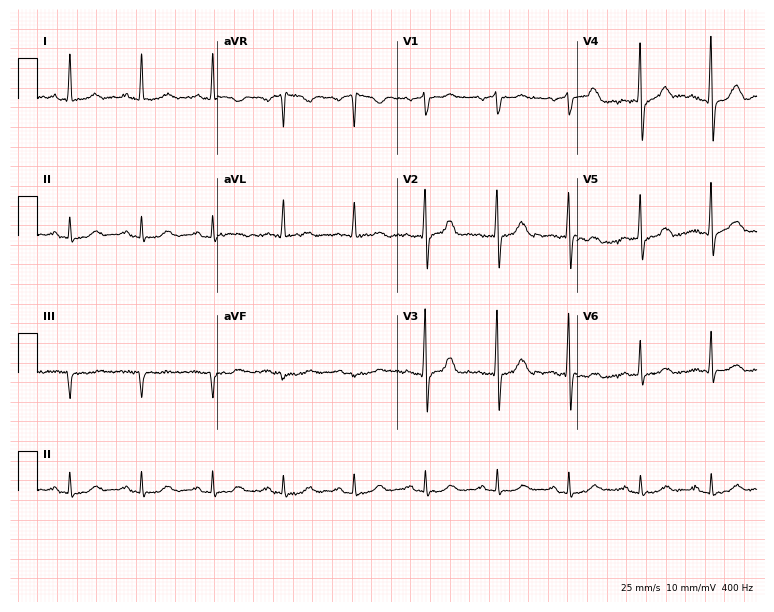
12-lead ECG from a female patient, 79 years old (7.3-second recording at 400 Hz). No first-degree AV block, right bundle branch block, left bundle branch block, sinus bradycardia, atrial fibrillation or sinus tachycardia recorded for this tracing. Findings outside these six are not listed.